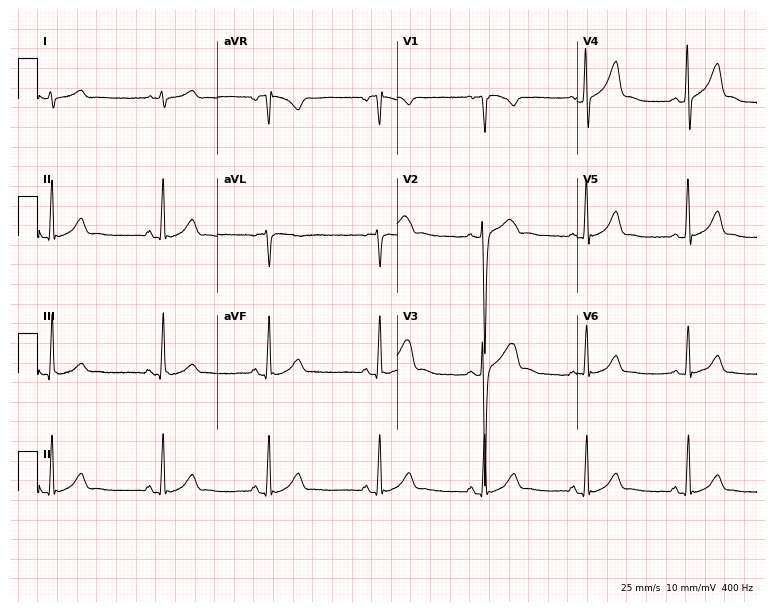
Resting 12-lead electrocardiogram (7.3-second recording at 400 Hz). Patient: a 29-year-old male. Read as a normal ECG.